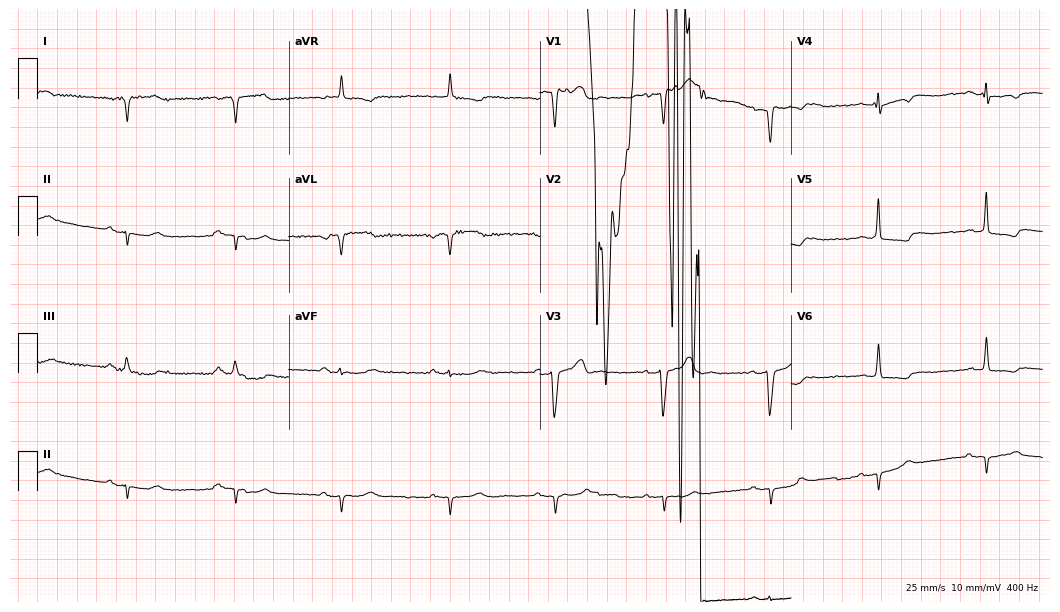
12-lead ECG from an 86-year-old male. Screened for six findings — first-degree AV block, right bundle branch block, left bundle branch block, sinus bradycardia, atrial fibrillation, sinus tachycardia — none is recorded.